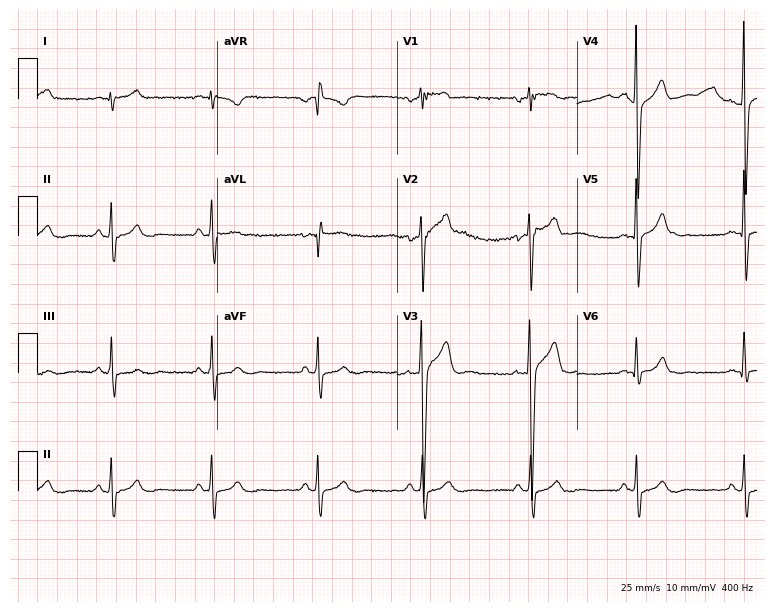
12-lead ECG from a male patient, 40 years old. No first-degree AV block, right bundle branch block, left bundle branch block, sinus bradycardia, atrial fibrillation or sinus tachycardia recorded for this tracing.